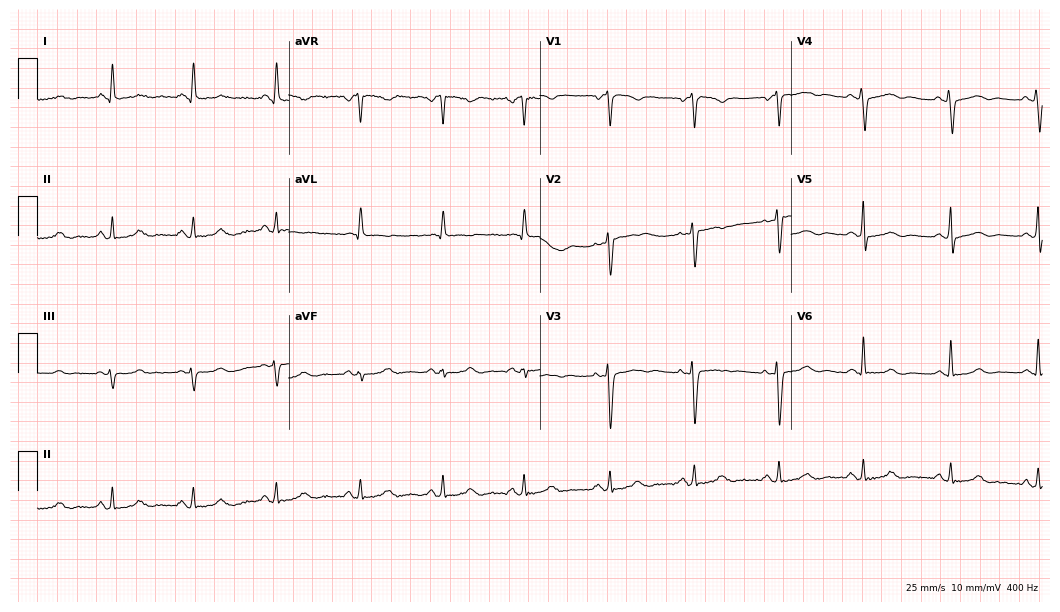
12-lead ECG from a woman, 44 years old (10.2-second recording at 400 Hz). Recorded interpretation: within normal limits.